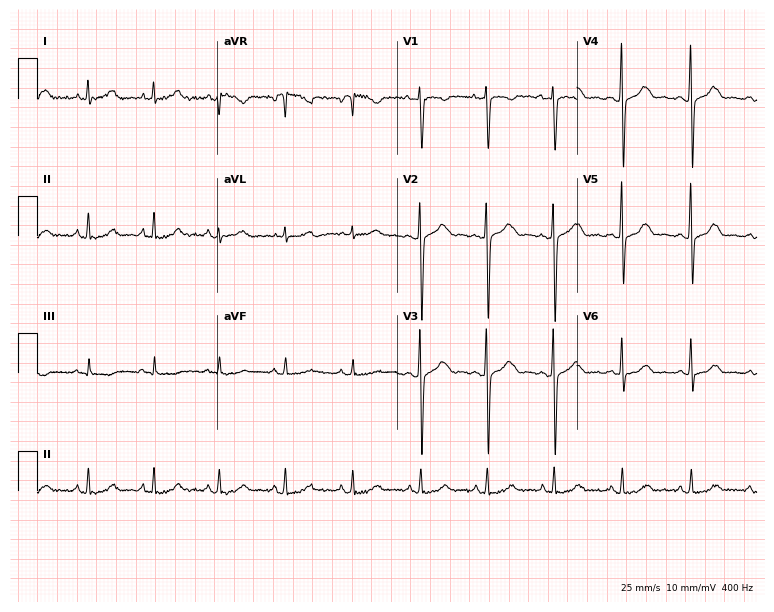
12-lead ECG from a female, 31 years old (7.3-second recording at 400 Hz). No first-degree AV block, right bundle branch block, left bundle branch block, sinus bradycardia, atrial fibrillation or sinus tachycardia recorded for this tracing.